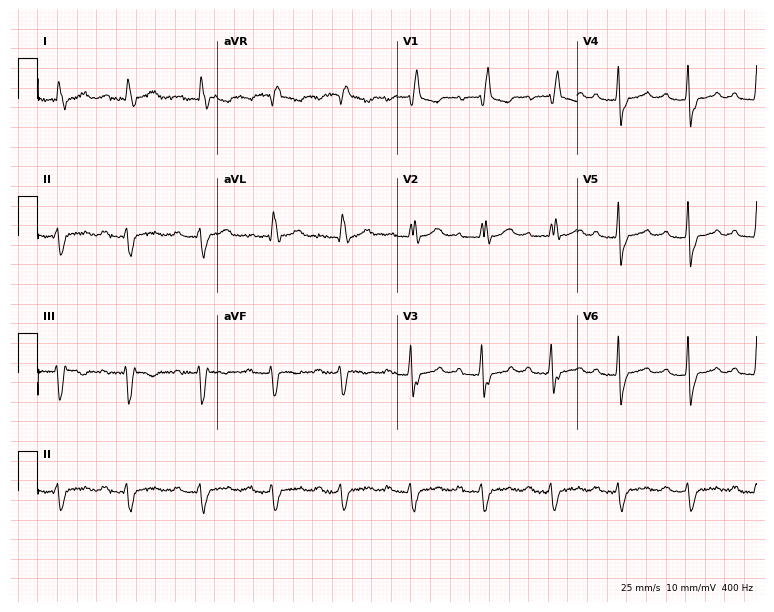
ECG — an 84-year-old man. Findings include first-degree AV block, right bundle branch block (RBBB).